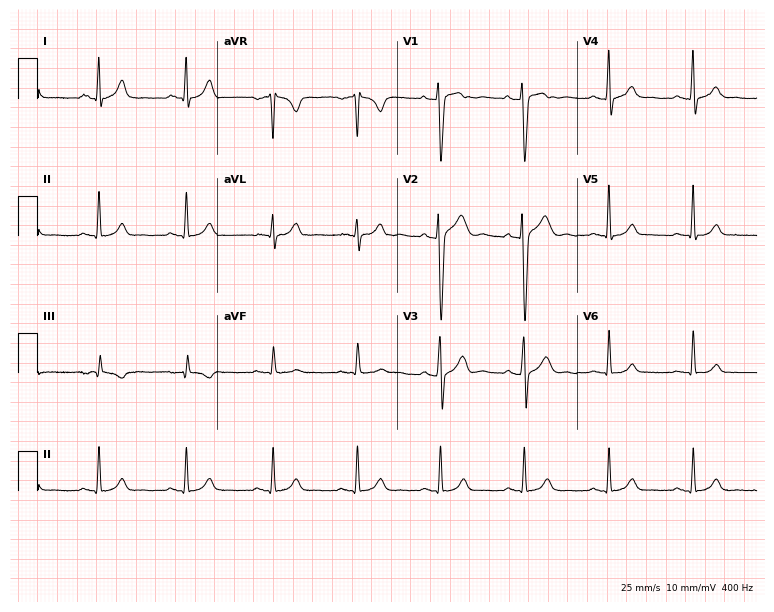
ECG (7.3-second recording at 400 Hz) — a 23-year-old man. Screened for six findings — first-degree AV block, right bundle branch block, left bundle branch block, sinus bradycardia, atrial fibrillation, sinus tachycardia — none is recorded.